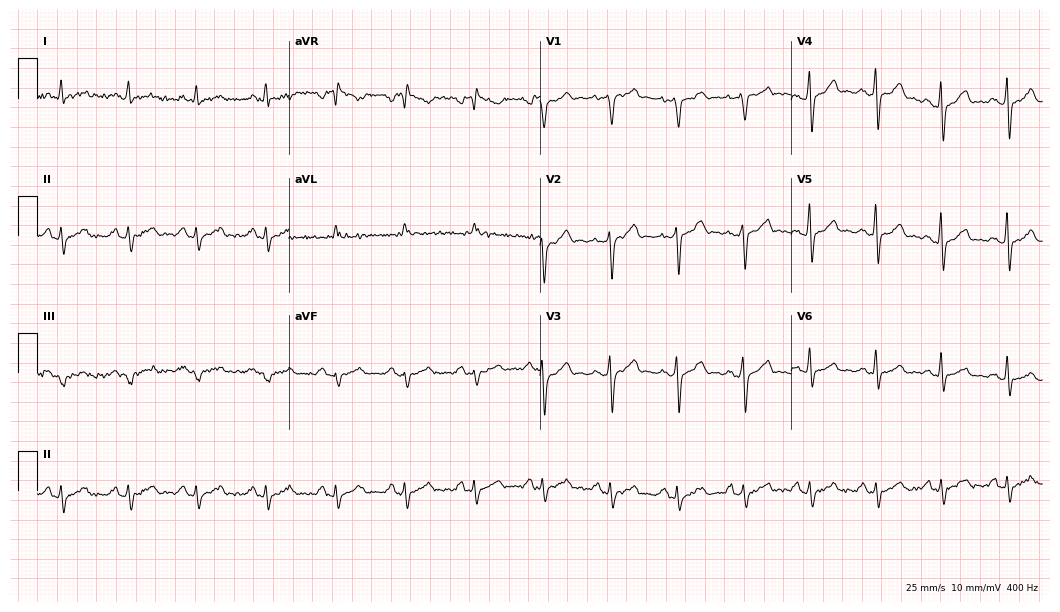
Electrocardiogram (10.2-second recording at 400 Hz), a 38-year-old male patient. Of the six screened findings (first-degree AV block, right bundle branch block (RBBB), left bundle branch block (LBBB), sinus bradycardia, atrial fibrillation (AF), sinus tachycardia), none is recorded. Only these six findings were labelled.